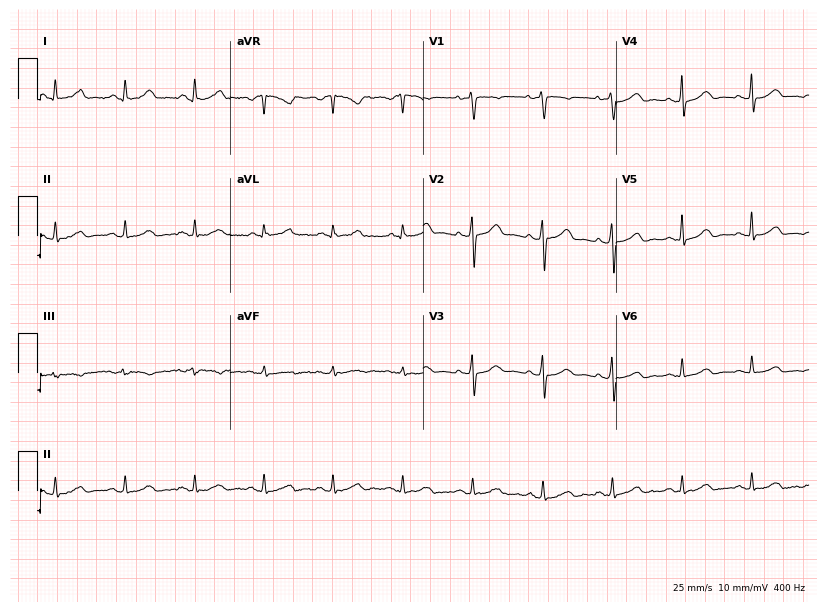
12-lead ECG (7.9-second recording at 400 Hz) from a woman, 63 years old. Labelled as a normal ECG.